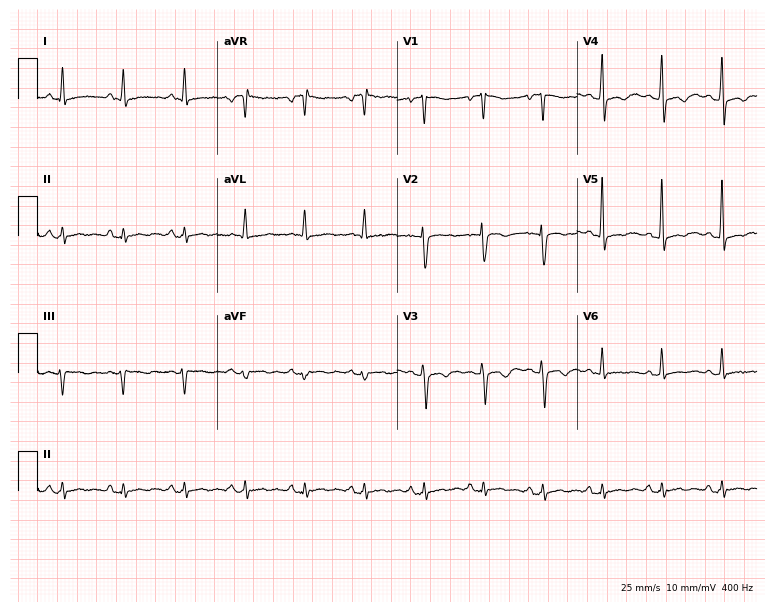
12-lead ECG from a male patient, 39 years old. No first-degree AV block, right bundle branch block, left bundle branch block, sinus bradycardia, atrial fibrillation or sinus tachycardia recorded for this tracing. Only these six findings were labelled.